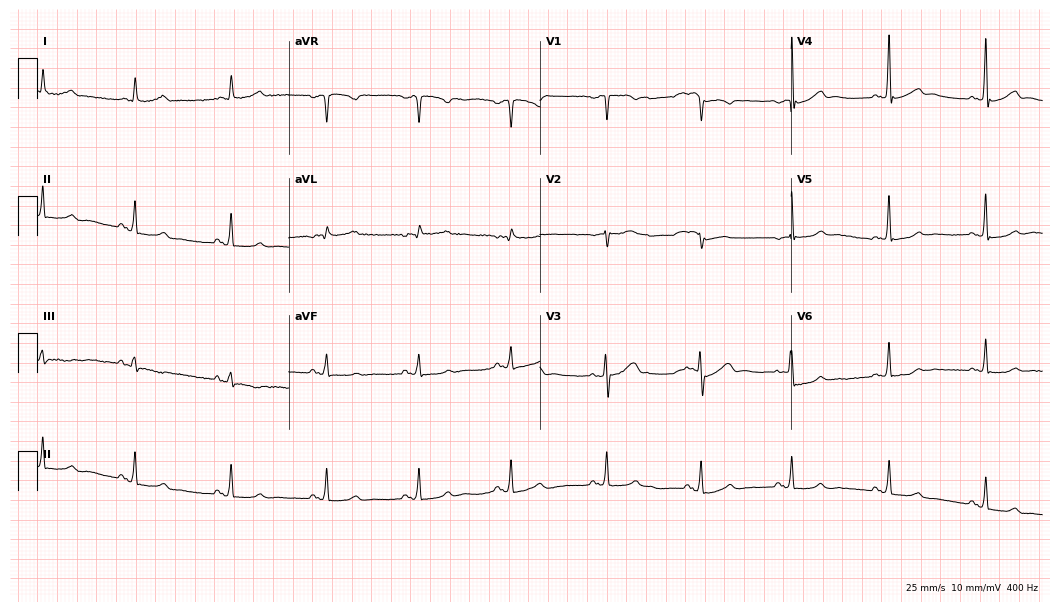
Standard 12-lead ECG recorded from a 71-year-old woman (10.2-second recording at 400 Hz). None of these six findings is recorded: first-degree AV block, right bundle branch block, left bundle branch block, sinus bradycardia, atrial fibrillation, sinus tachycardia. Only these six findings were labelled.